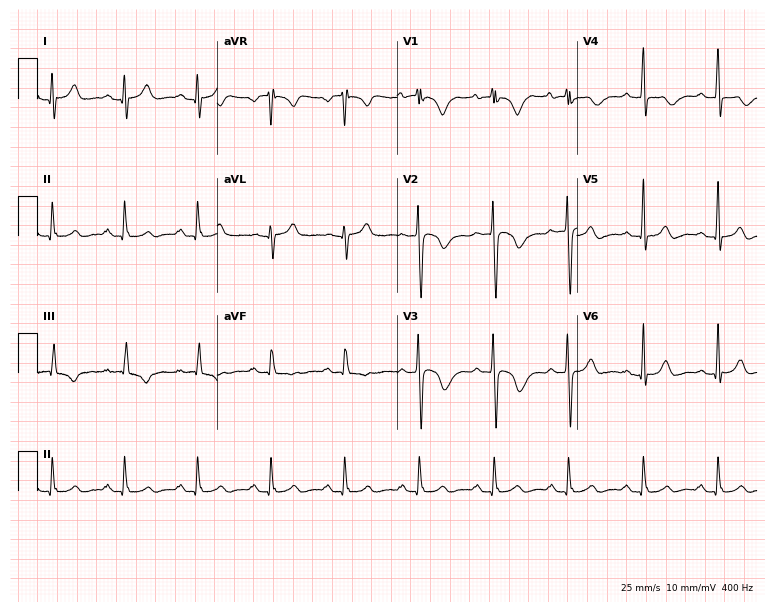
Resting 12-lead electrocardiogram (7.3-second recording at 400 Hz). Patient: a 38-year-old man. None of these six findings is recorded: first-degree AV block, right bundle branch block, left bundle branch block, sinus bradycardia, atrial fibrillation, sinus tachycardia. Findings outside these six are not listed.